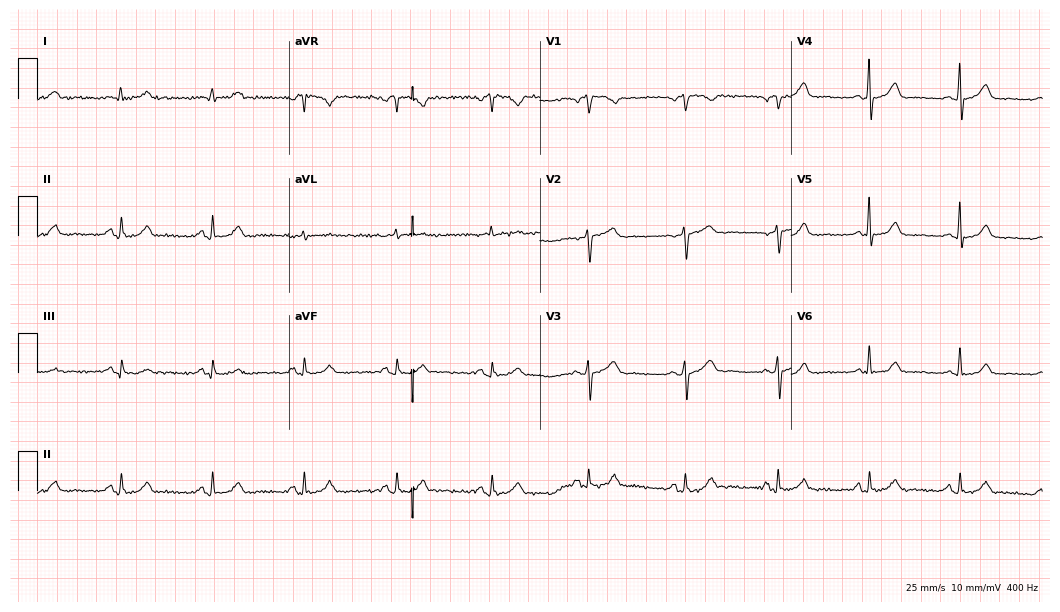
Electrocardiogram (10.2-second recording at 400 Hz), a 57-year-old female. Of the six screened findings (first-degree AV block, right bundle branch block, left bundle branch block, sinus bradycardia, atrial fibrillation, sinus tachycardia), none is recorded.